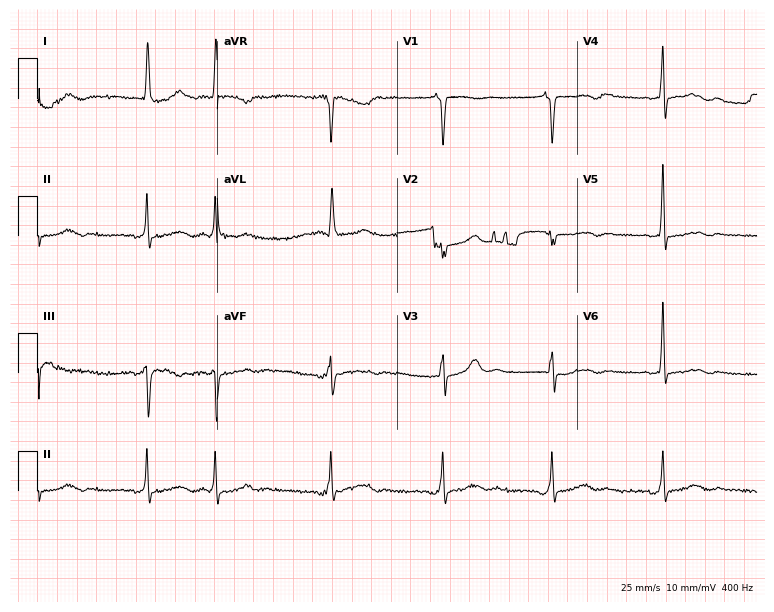
ECG — a female patient, 79 years old. Screened for six findings — first-degree AV block, right bundle branch block, left bundle branch block, sinus bradycardia, atrial fibrillation, sinus tachycardia — none is recorded. Only these six findings were labelled.